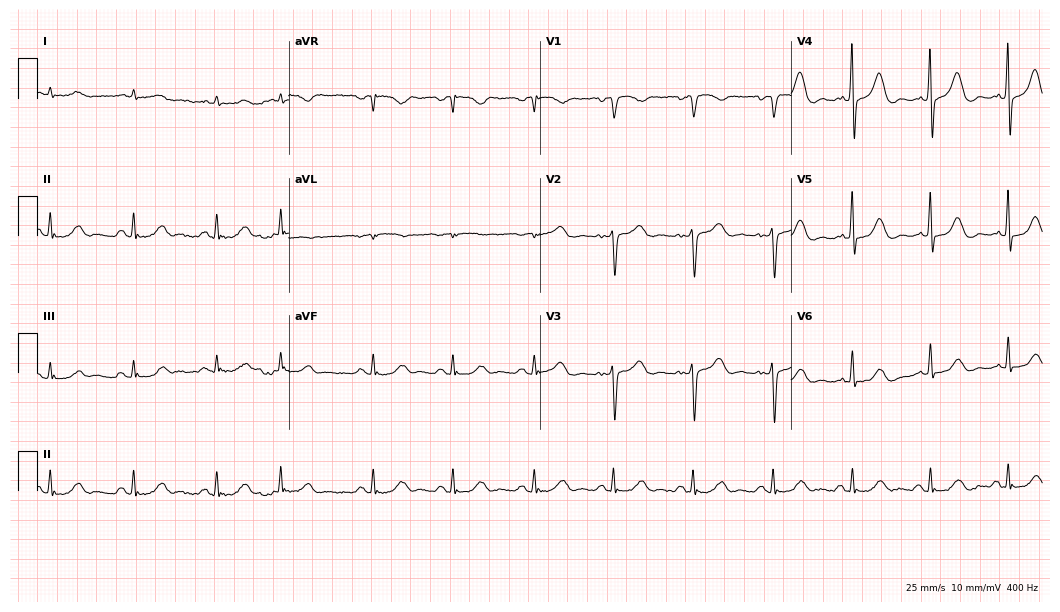
Standard 12-lead ECG recorded from a 60-year-old male patient. Read as a normal ECG.